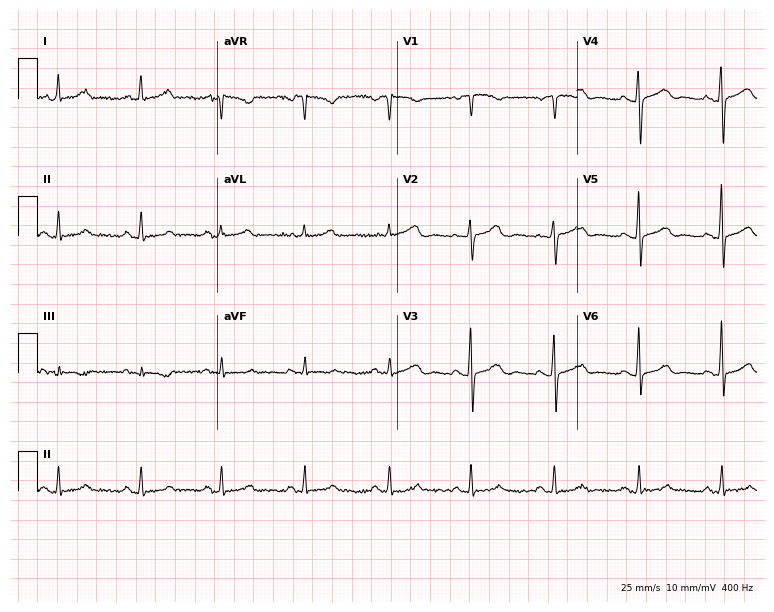
Resting 12-lead electrocardiogram. Patient: a female, 46 years old. Read as a normal ECG.